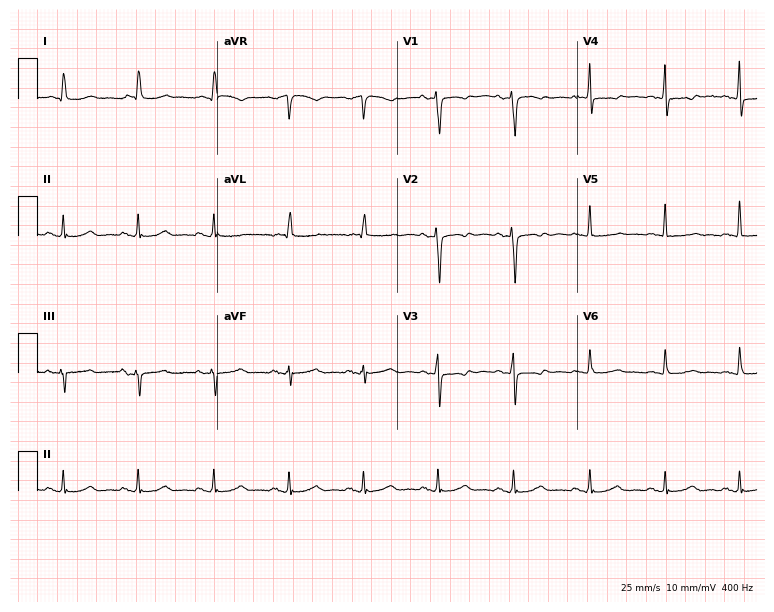
12-lead ECG (7.3-second recording at 400 Hz) from a female, 65 years old. Screened for six findings — first-degree AV block, right bundle branch block, left bundle branch block, sinus bradycardia, atrial fibrillation, sinus tachycardia — none is recorded. Only these six findings were labelled.